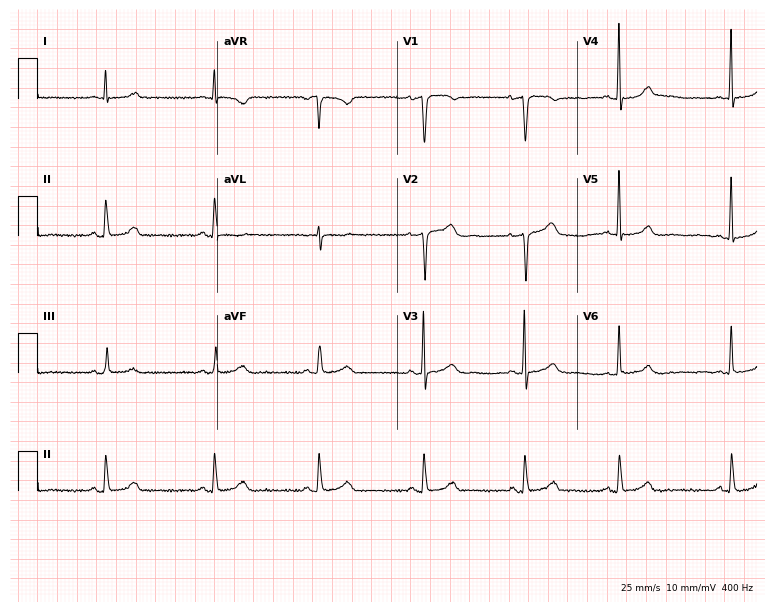
12-lead ECG from a female patient, 51 years old. No first-degree AV block, right bundle branch block, left bundle branch block, sinus bradycardia, atrial fibrillation or sinus tachycardia recorded for this tracing.